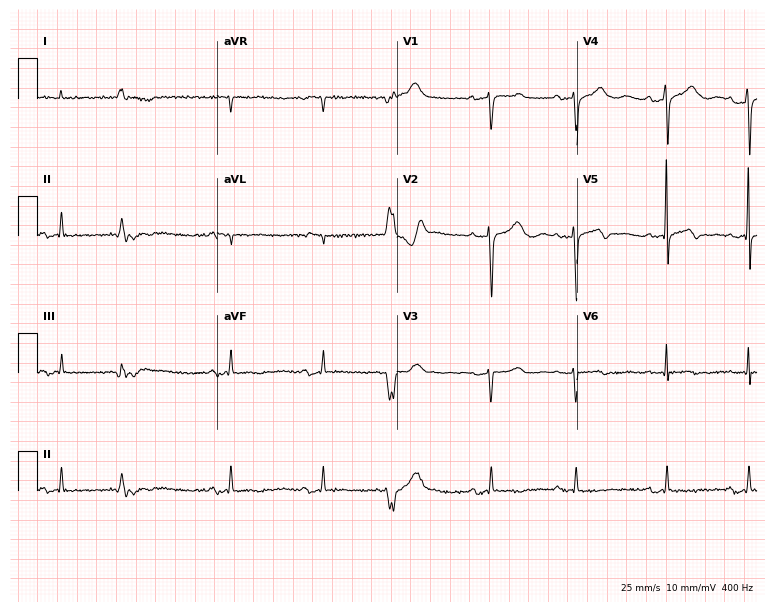
12-lead ECG (7.3-second recording at 400 Hz) from a 79-year-old female. Screened for six findings — first-degree AV block, right bundle branch block, left bundle branch block, sinus bradycardia, atrial fibrillation, sinus tachycardia — none is recorded. Other findings, if any, are not listed.